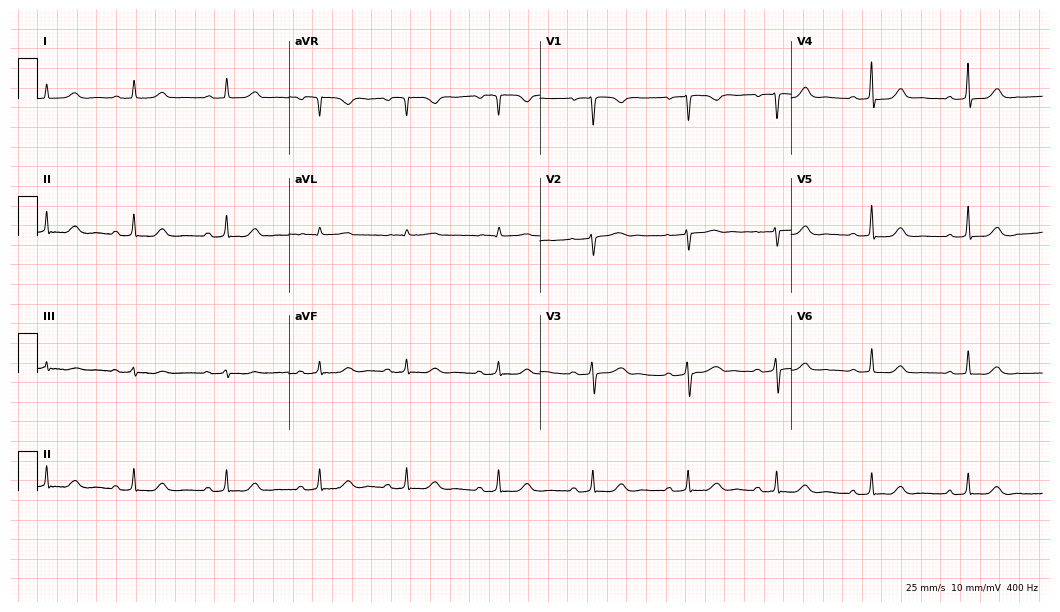
ECG (10.2-second recording at 400 Hz) — a 42-year-old female patient. Labelled as a normal ECG.